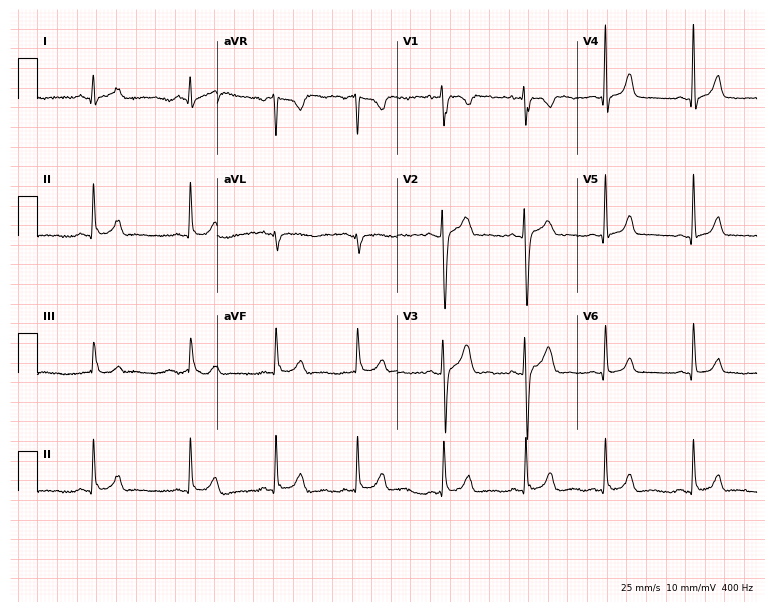
12-lead ECG from a woman, 22 years old (7.3-second recording at 400 Hz). Recorded interpretation: within normal limits.